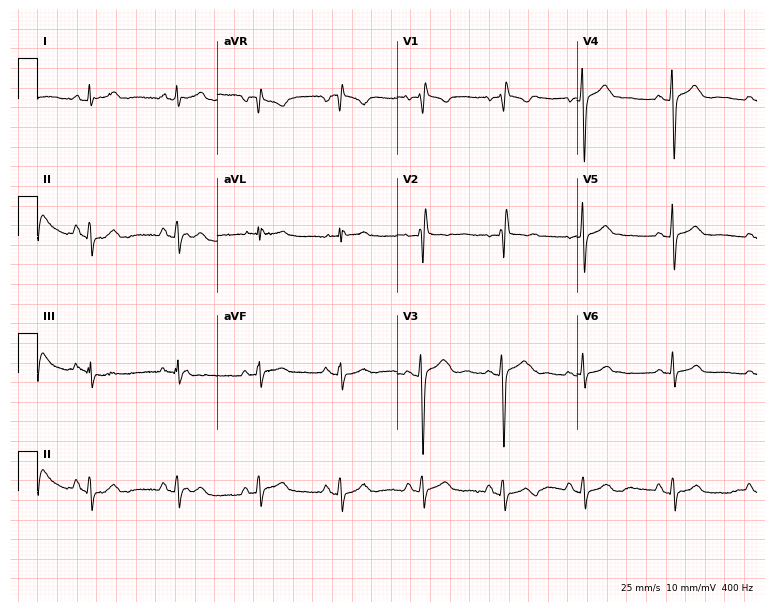
Electrocardiogram, a 17-year-old female. Of the six screened findings (first-degree AV block, right bundle branch block, left bundle branch block, sinus bradycardia, atrial fibrillation, sinus tachycardia), none is recorded.